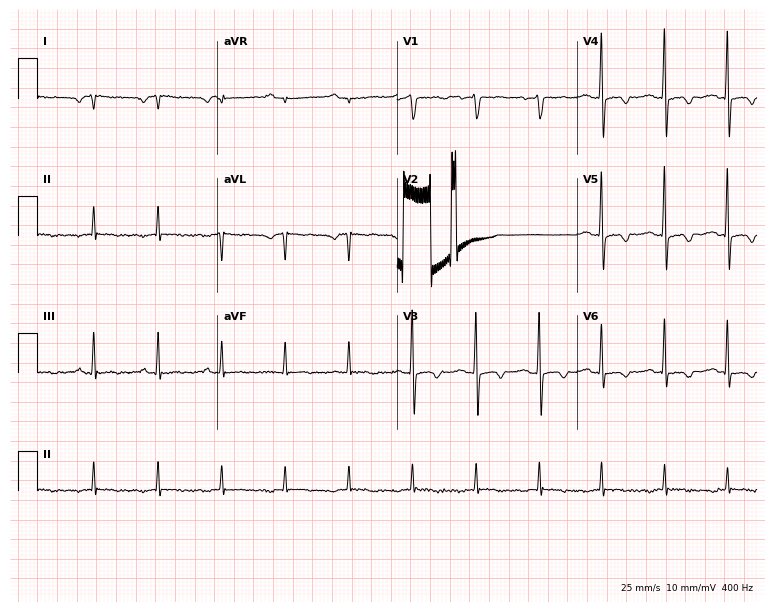
12-lead ECG (7.3-second recording at 400 Hz) from a male patient, 56 years old. Screened for six findings — first-degree AV block, right bundle branch block, left bundle branch block, sinus bradycardia, atrial fibrillation, sinus tachycardia — none is recorded. Only these six findings were labelled.